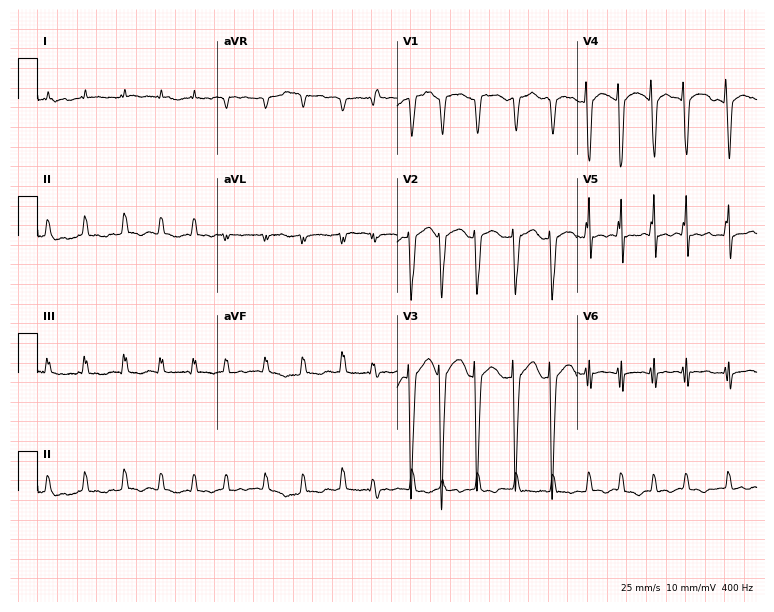
ECG (7.3-second recording at 400 Hz) — a 67-year-old man. Findings include atrial fibrillation.